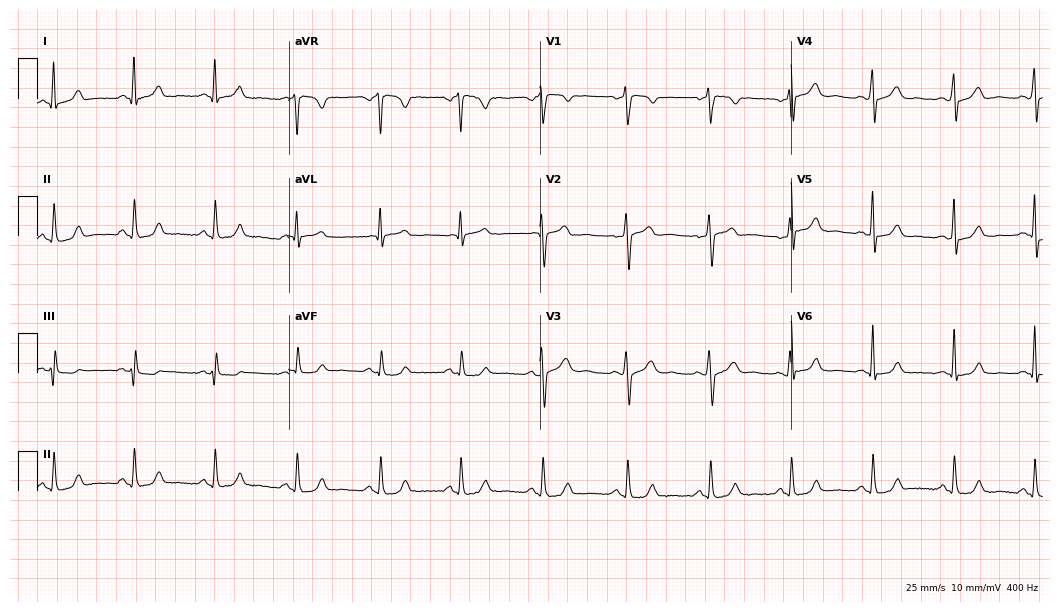
12-lead ECG (10.2-second recording at 400 Hz) from a 25-year-old woman. Labelled as a normal ECG.